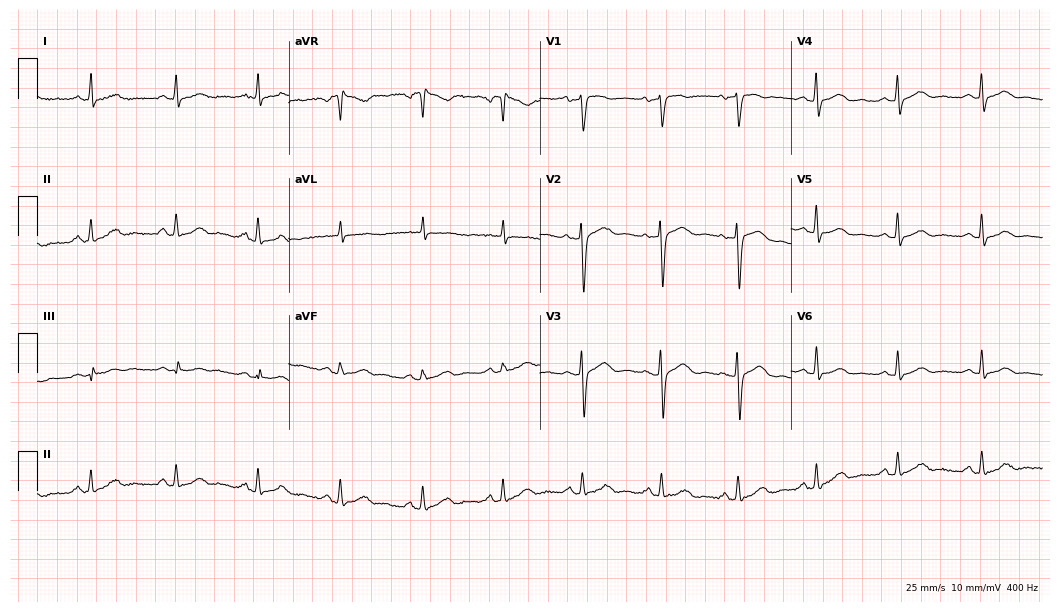
Standard 12-lead ECG recorded from a 55-year-old female patient (10.2-second recording at 400 Hz). Read as a normal ECG.